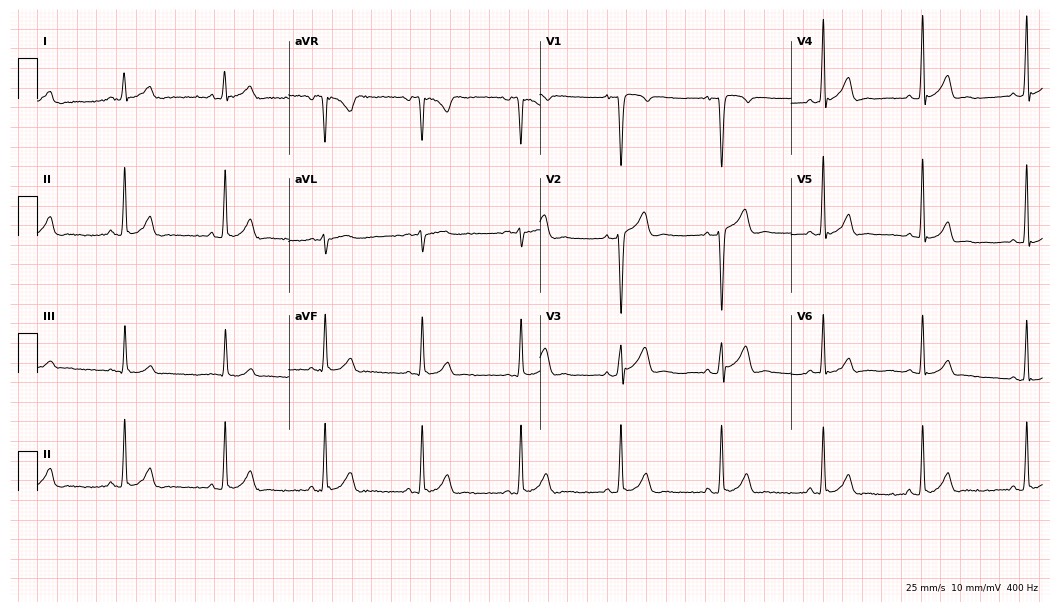
ECG (10.2-second recording at 400 Hz) — a 29-year-old male patient. Labelled as a normal ECG.